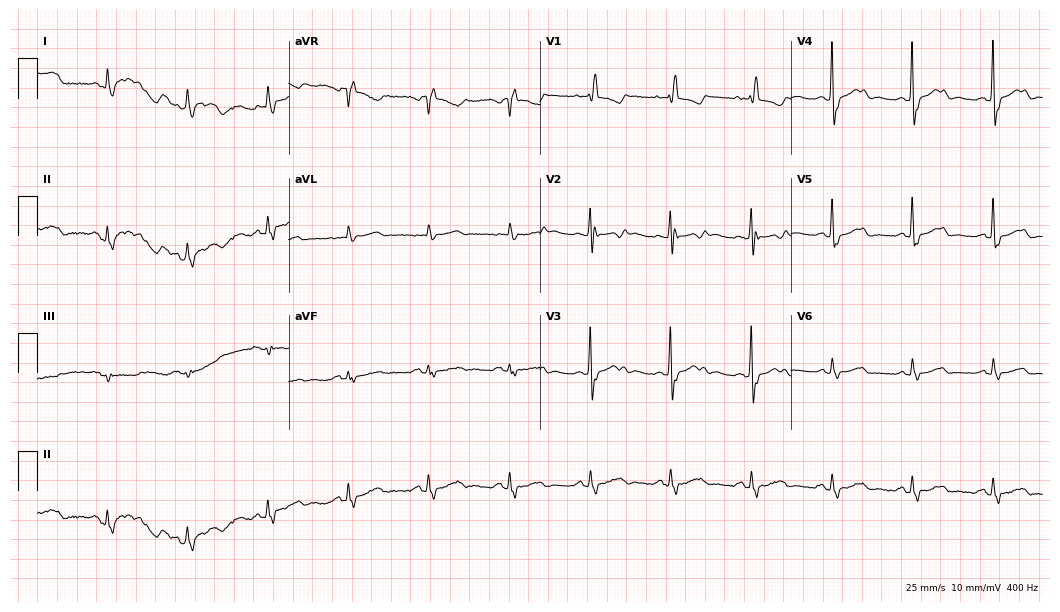
12-lead ECG (10.2-second recording at 400 Hz) from a female, 81 years old. Screened for six findings — first-degree AV block, right bundle branch block, left bundle branch block, sinus bradycardia, atrial fibrillation, sinus tachycardia — none is recorded.